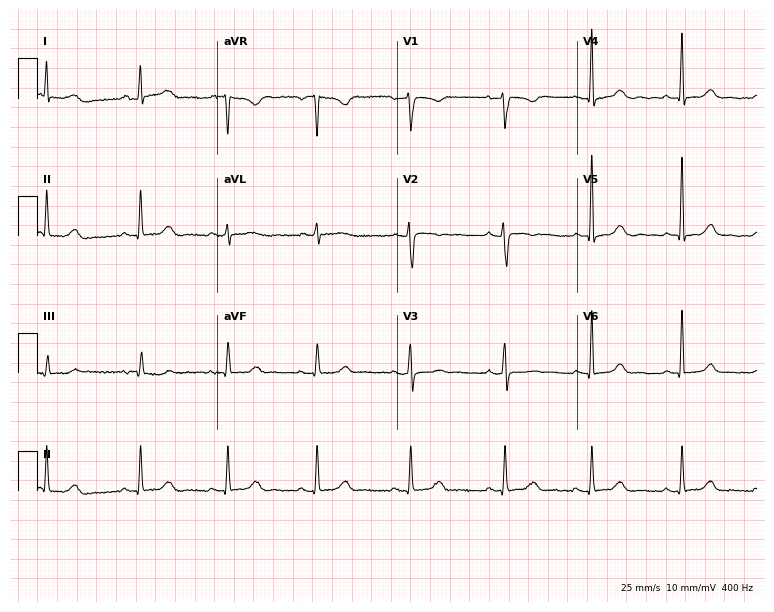
ECG (7.3-second recording at 400 Hz) — a woman, 46 years old. Screened for six findings — first-degree AV block, right bundle branch block (RBBB), left bundle branch block (LBBB), sinus bradycardia, atrial fibrillation (AF), sinus tachycardia — none is recorded. Other findings, if any, are not listed.